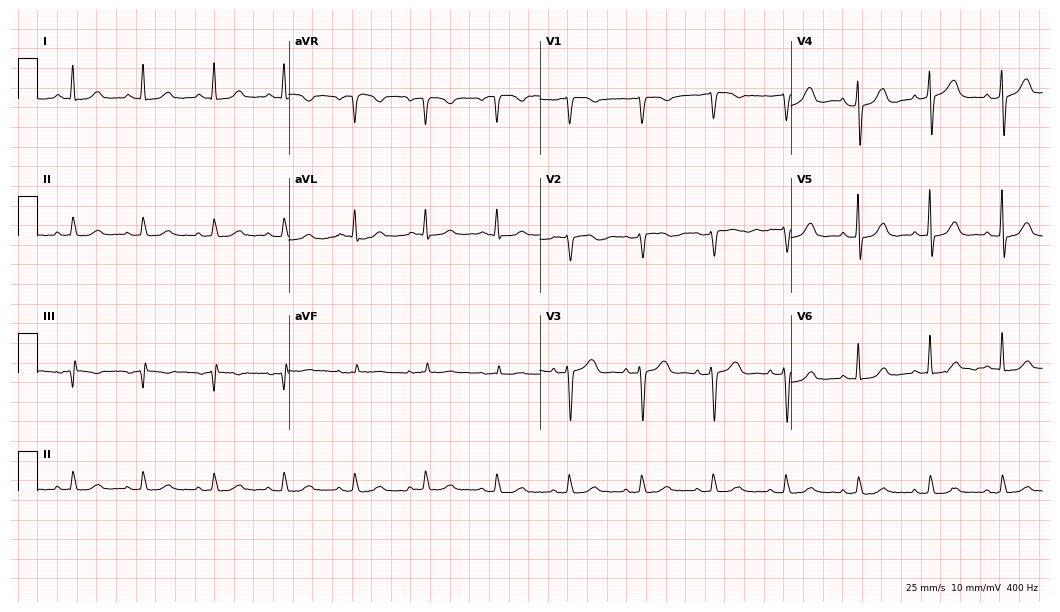
ECG (10.2-second recording at 400 Hz) — a 74-year-old woman. Screened for six findings — first-degree AV block, right bundle branch block (RBBB), left bundle branch block (LBBB), sinus bradycardia, atrial fibrillation (AF), sinus tachycardia — none is recorded.